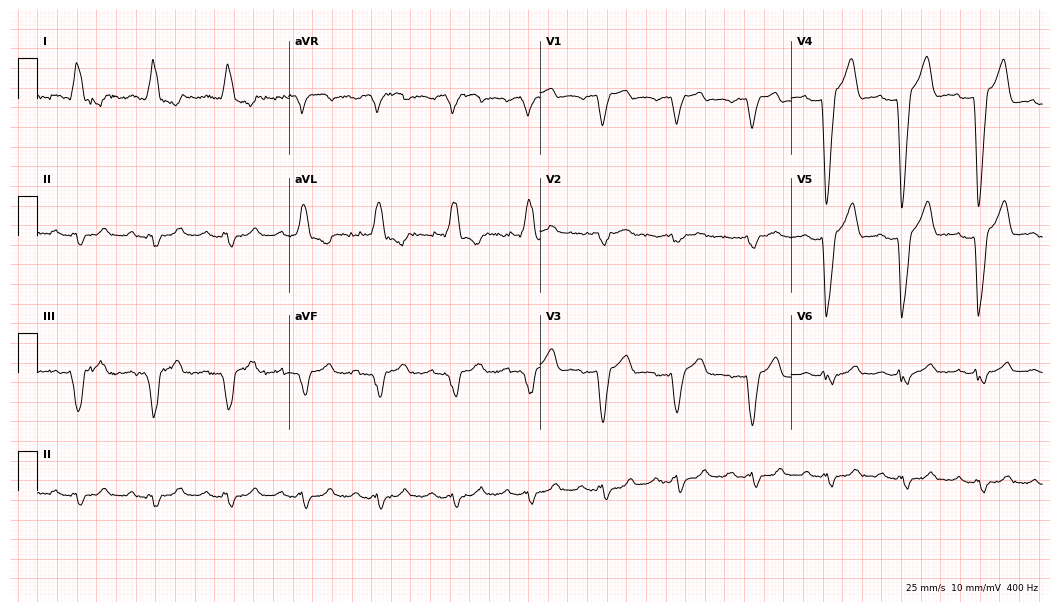
12-lead ECG (10.2-second recording at 400 Hz) from a man, 59 years old. Findings include left bundle branch block (LBBB).